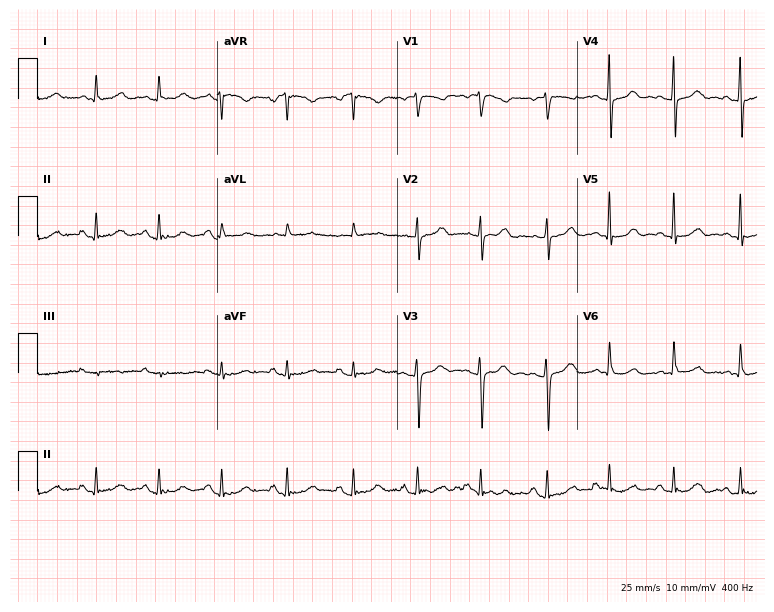
Resting 12-lead electrocardiogram (7.3-second recording at 400 Hz). Patient: a 65-year-old female. Read as a normal ECG.